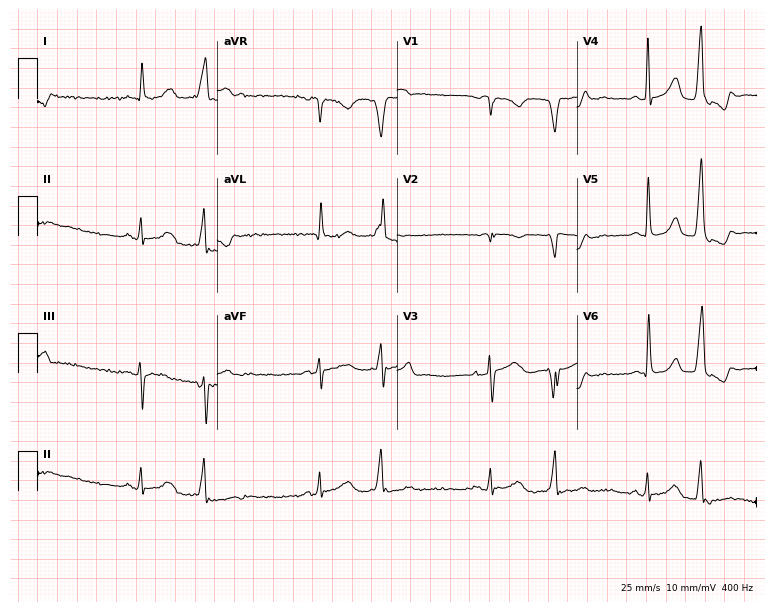
12-lead ECG from a female patient, 78 years old. No first-degree AV block, right bundle branch block, left bundle branch block, sinus bradycardia, atrial fibrillation or sinus tachycardia recorded for this tracing. Other findings, if any, are not listed.